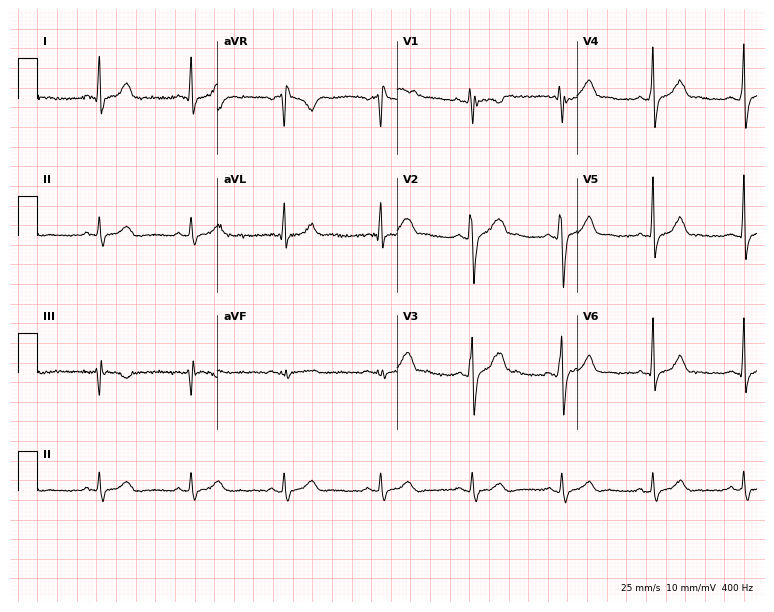
Electrocardiogram (7.3-second recording at 400 Hz), a man, 29 years old. Of the six screened findings (first-degree AV block, right bundle branch block (RBBB), left bundle branch block (LBBB), sinus bradycardia, atrial fibrillation (AF), sinus tachycardia), none is recorded.